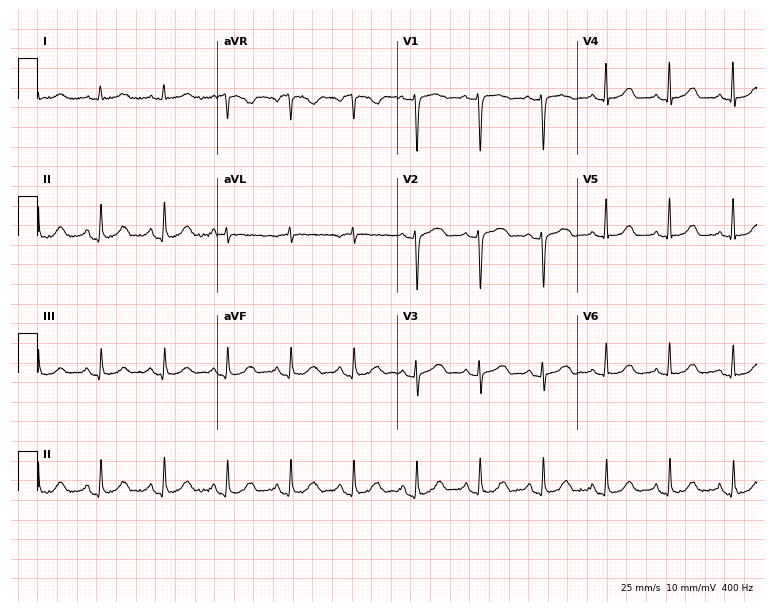
12-lead ECG (7.3-second recording at 400 Hz) from a 56-year-old female patient. Labelled as a normal ECG.